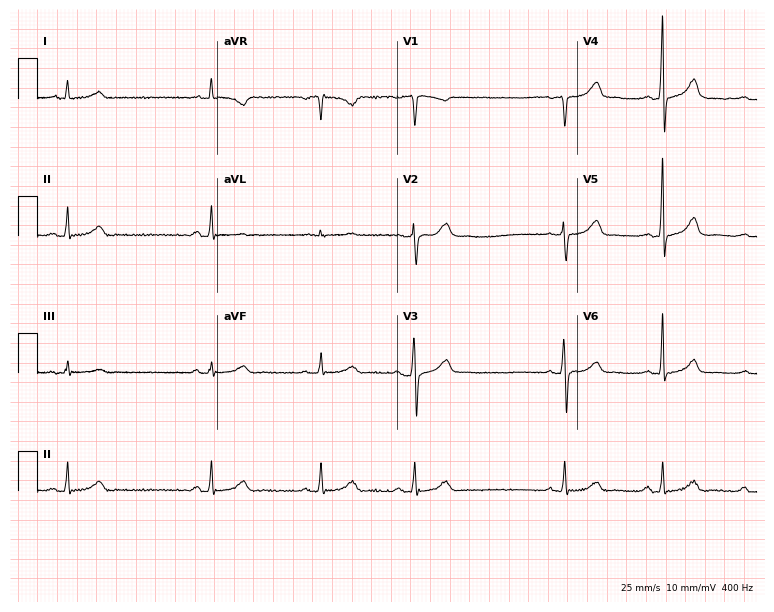
12-lead ECG from a woman, 34 years old (7.3-second recording at 400 Hz). Recorded interpretation: within normal limits.